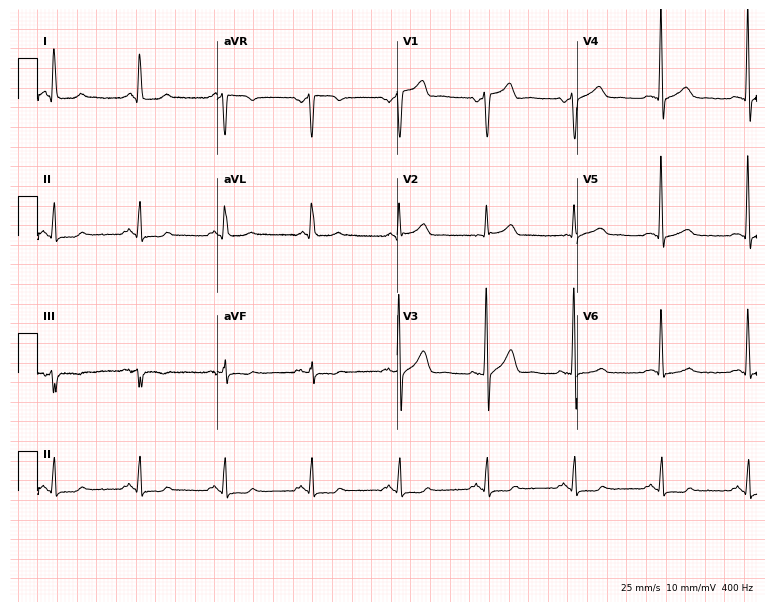
Standard 12-lead ECG recorded from a 54-year-old male patient (7.3-second recording at 400 Hz). None of these six findings is recorded: first-degree AV block, right bundle branch block (RBBB), left bundle branch block (LBBB), sinus bradycardia, atrial fibrillation (AF), sinus tachycardia. Other findings, if any, are not listed.